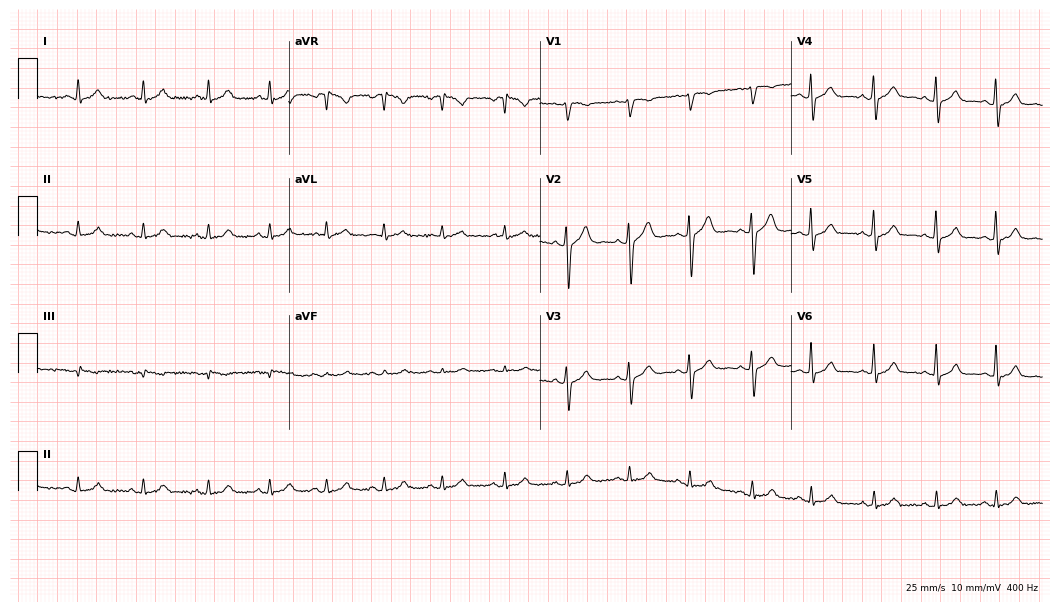
Resting 12-lead electrocardiogram (10.2-second recording at 400 Hz). Patient: a man, 51 years old. Read as a normal ECG.